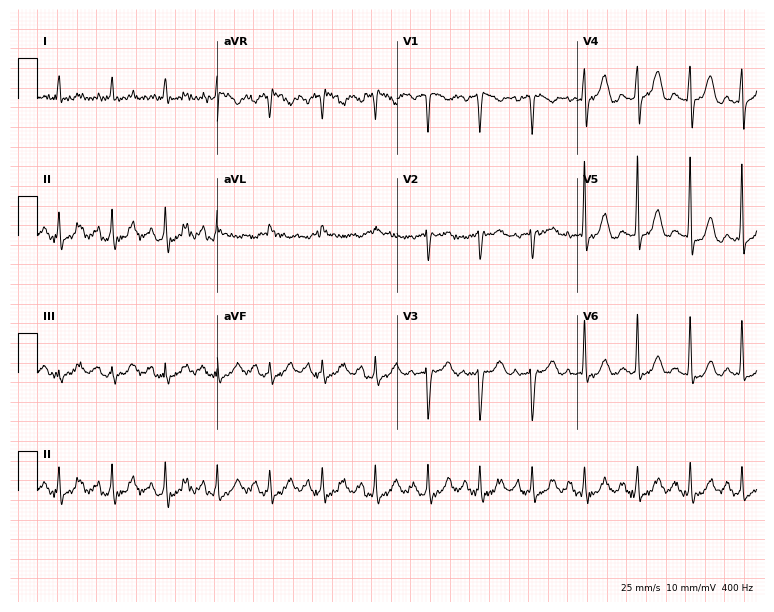
12-lead ECG from a 70-year-old woman. Findings include sinus tachycardia (a sinus rate of 100 beats per minute or more).